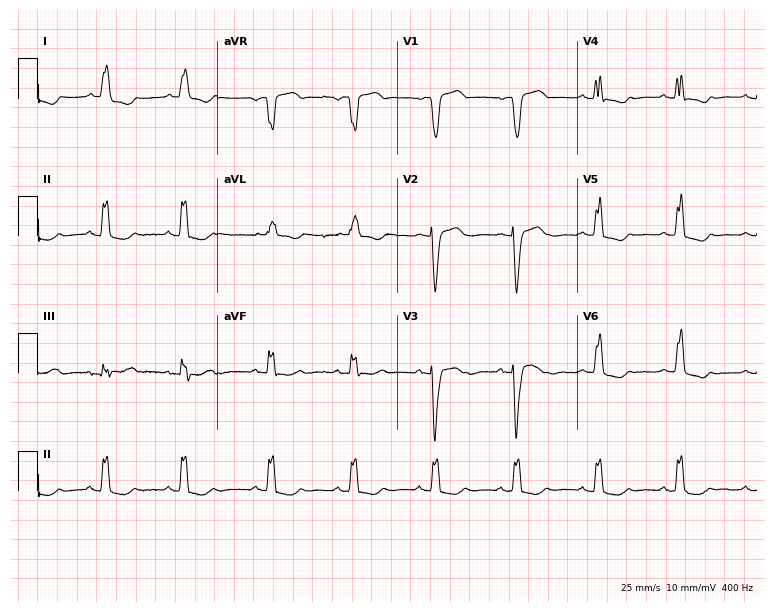
12-lead ECG (7.3-second recording at 400 Hz) from a 65-year-old female patient. Screened for six findings — first-degree AV block, right bundle branch block (RBBB), left bundle branch block (LBBB), sinus bradycardia, atrial fibrillation (AF), sinus tachycardia — none is recorded.